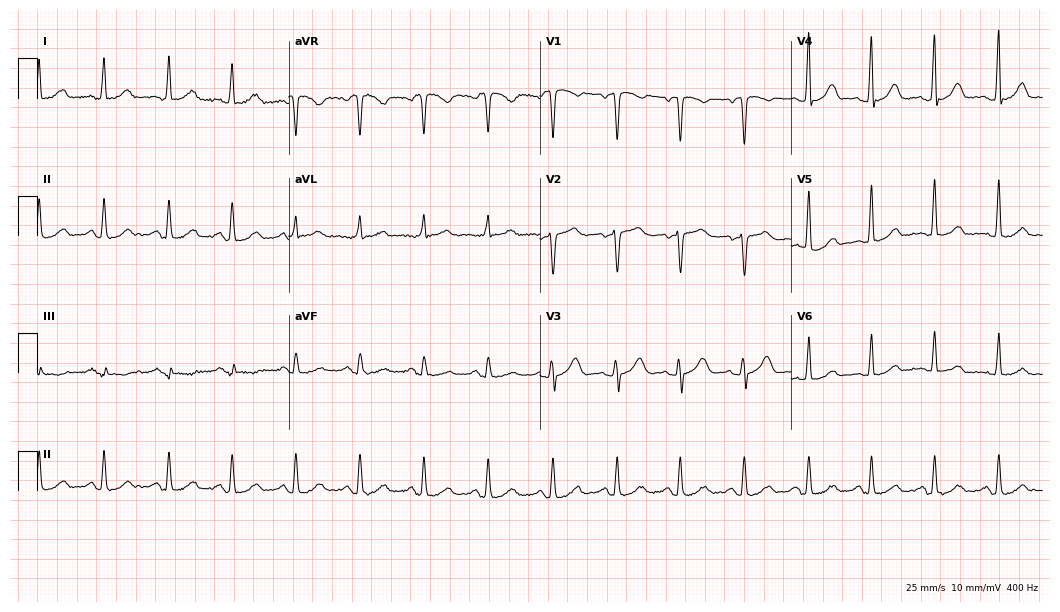
Electrocardiogram (10.2-second recording at 400 Hz), a 57-year-old female patient. Of the six screened findings (first-degree AV block, right bundle branch block, left bundle branch block, sinus bradycardia, atrial fibrillation, sinus tachycardia), none is recorded.